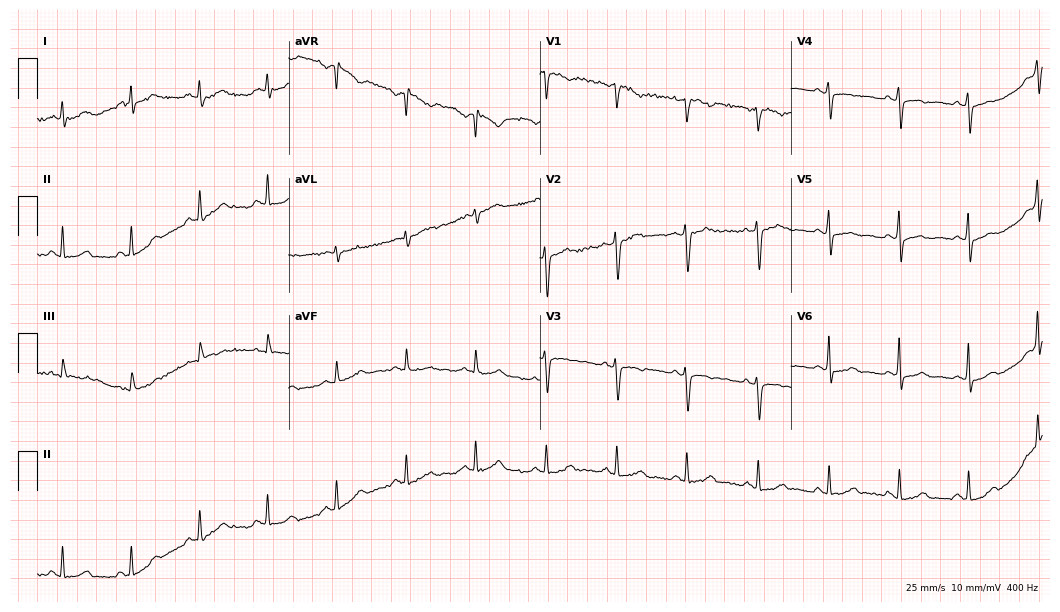
Electrocardiogram, a woman, 38 years old. Overall reading on record: normal ECG.